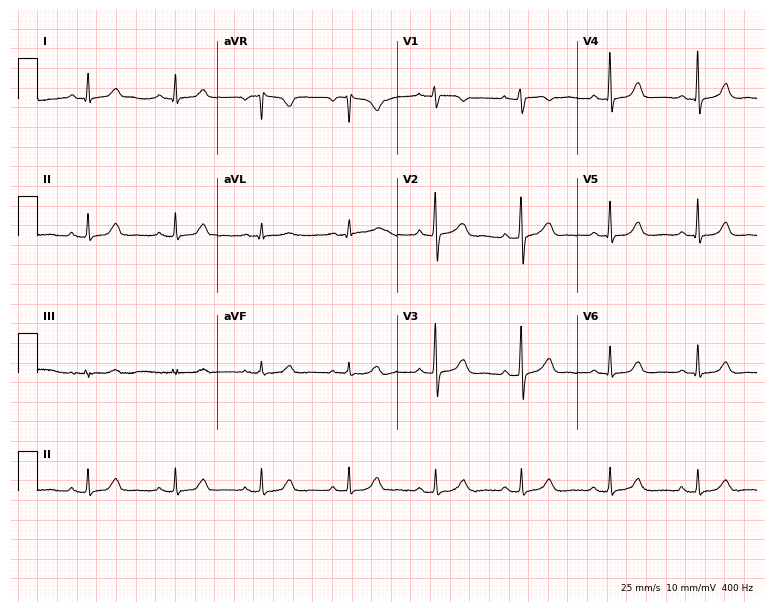
12-lead ECG from a 47-year-old woman. Labelled as a normal ECG.